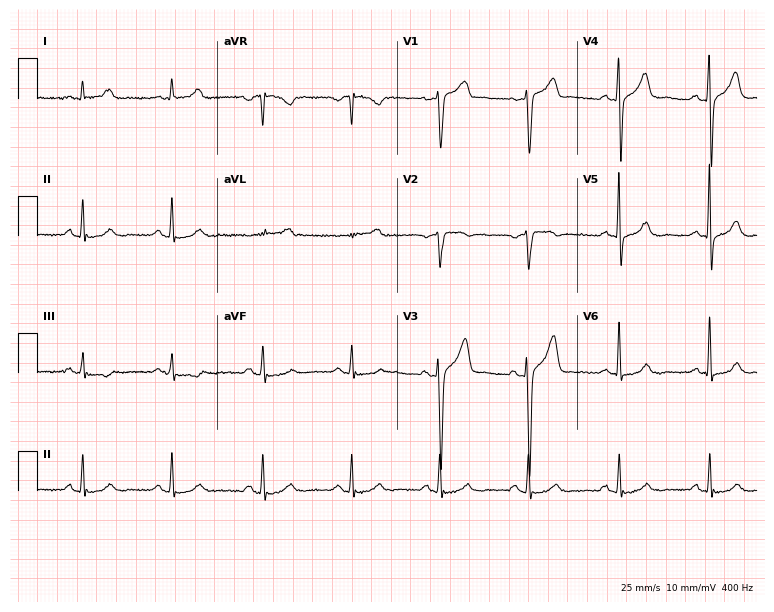
Standard 12-lead ECG recorded from a 62-year-old male (7.3-second recording at 400 Hz). Read as a normal ECG.